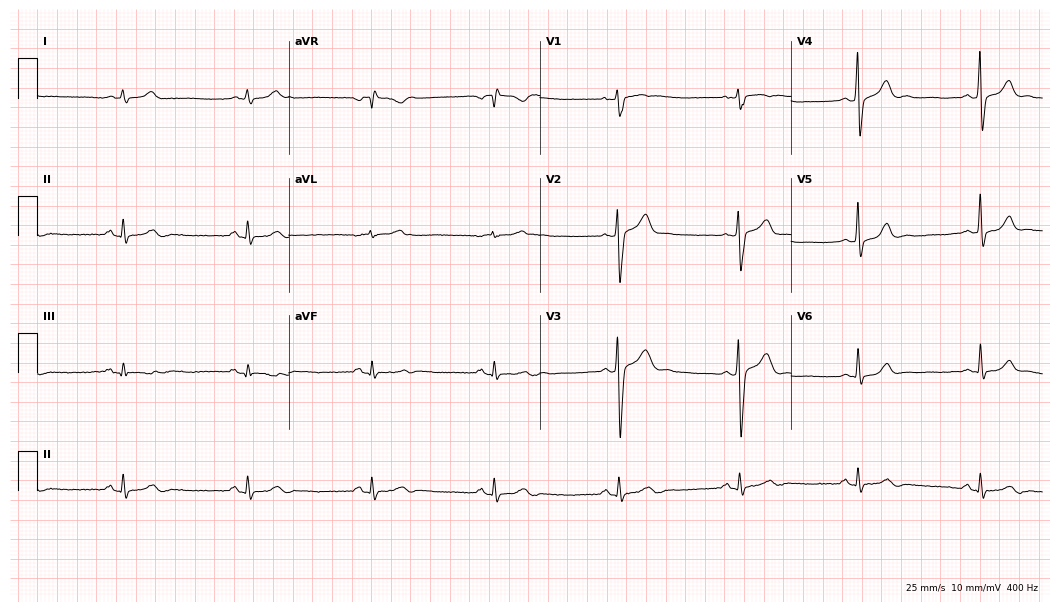
12-lead ECG from a male, 44 years old. Shows sinus bradycardia (a sinus rate of 50 beats per minute or less).